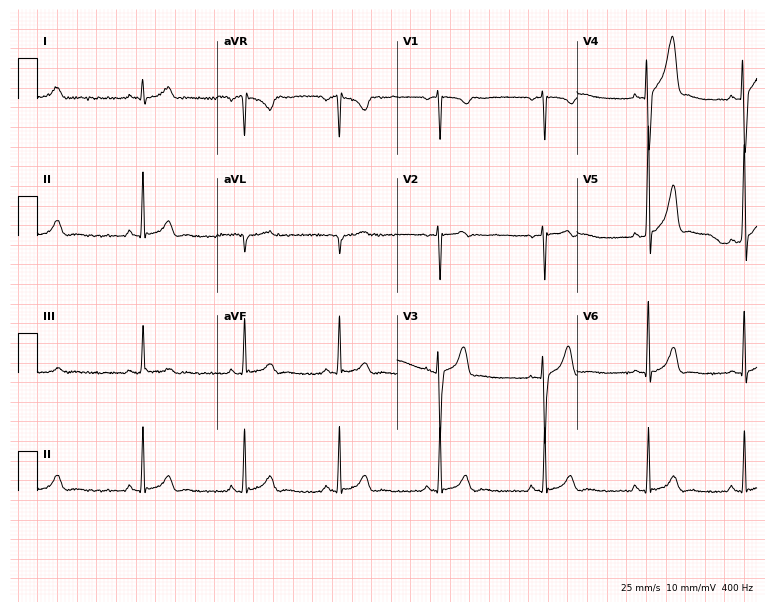
Standard 12-lead ECG recorded from a 25-year-old male patient (7.3-second recording at 400 Hz). Read as a normal ECG.